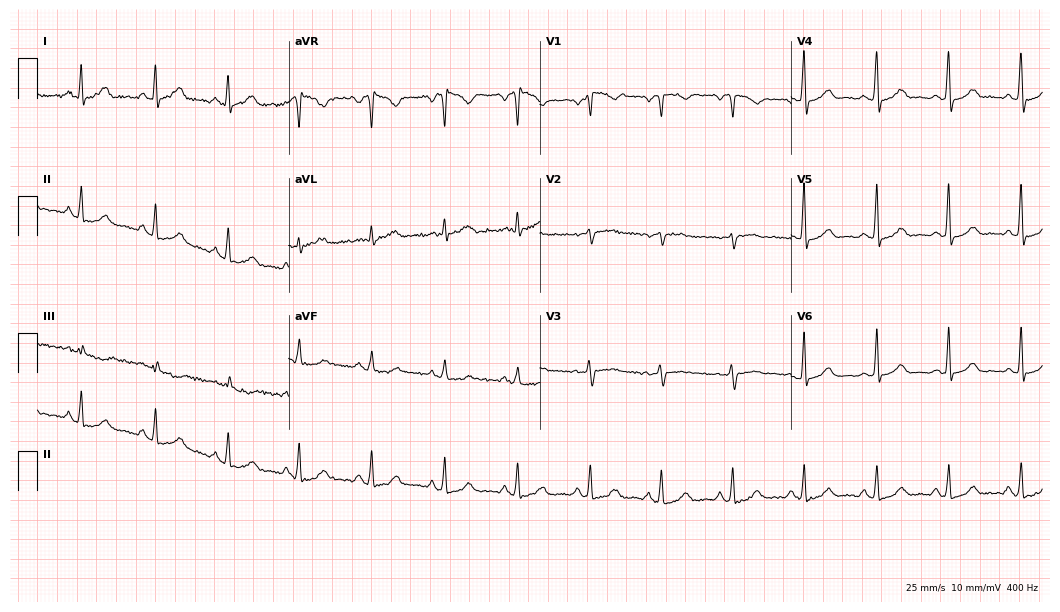
12-lead ECG from a female patient, 49 years old (10.2-second recording at 400 Hz). Recorded interpretation: within normal limits.